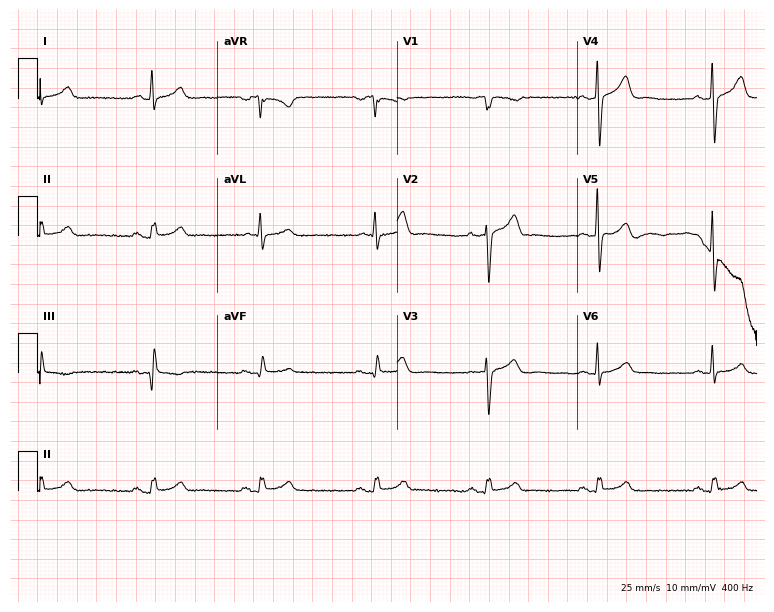
12-lead ECG from a male, 65 years old. Labelled as a normal ECG.